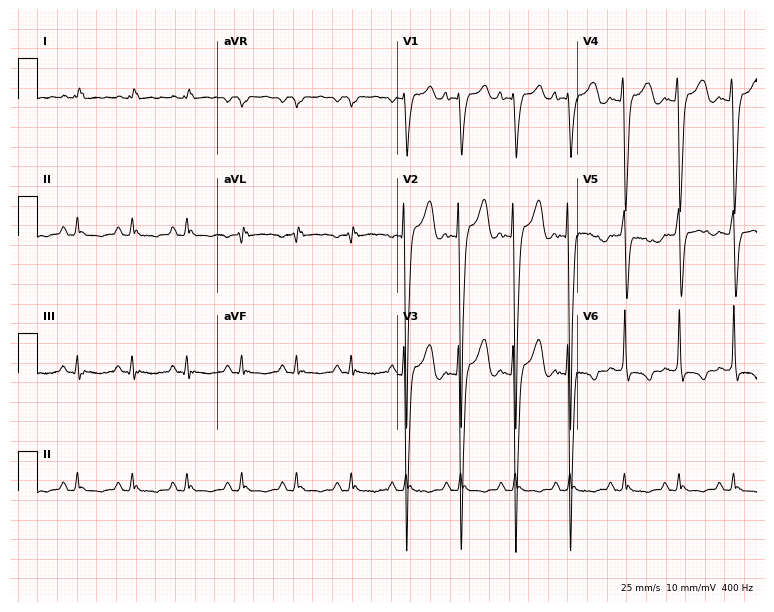
Resting 12-lead electrocardiogram (7.3-second recording at 400 Hz). Patient: a 67-year-old male. None of these six findings is recorded: first-degree AV block, right bundle branch block, left bundle branch block, sinus bradycardia, atrial fibrillation, sinus tachycardia.